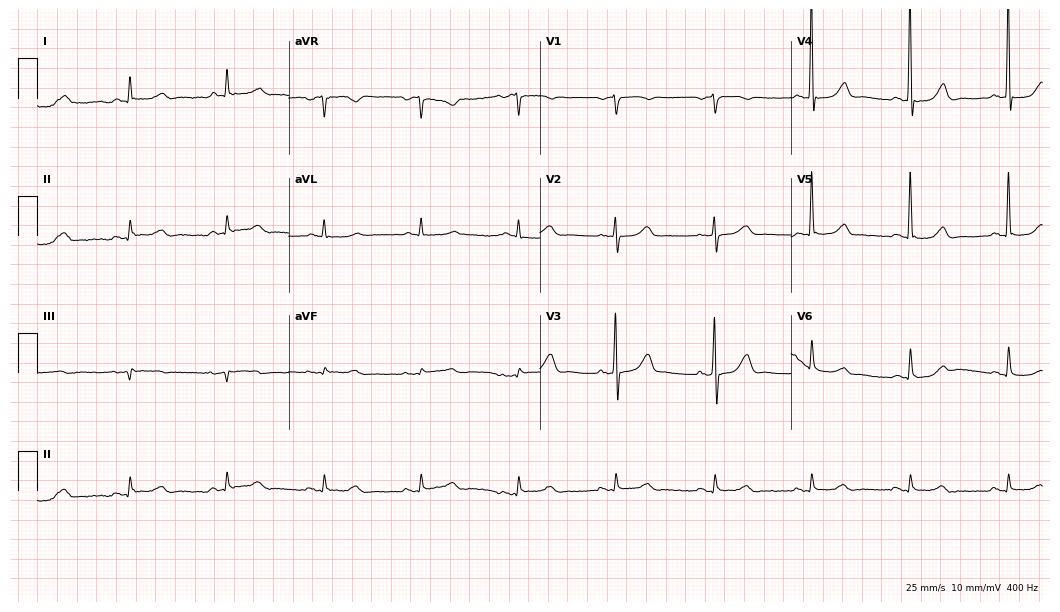
Resting 12-lead electrocardiogram. Patient: a male, 84 years old. Read as a normal ECG.